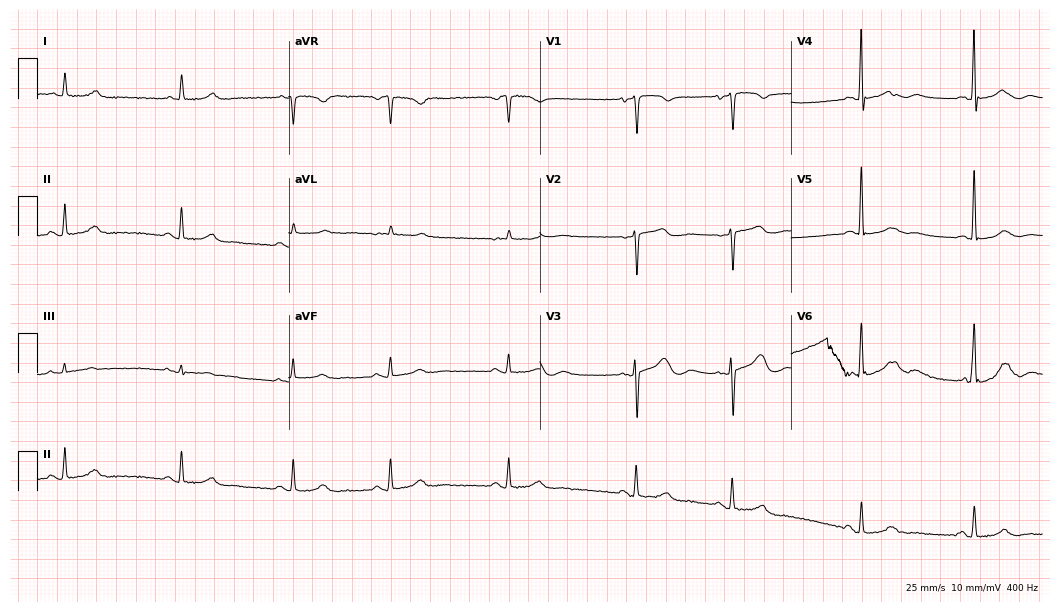
ECG (10.2-second recording at 400 Hz) — an 81-year-old woman. Screened for six findings — first-degree AV block, right bundle branch block (RBBB), left bundle branch block (LBBB), sinus bradycardia, atrial fibrillation (AF), sinus tachycardia — none is recorded.